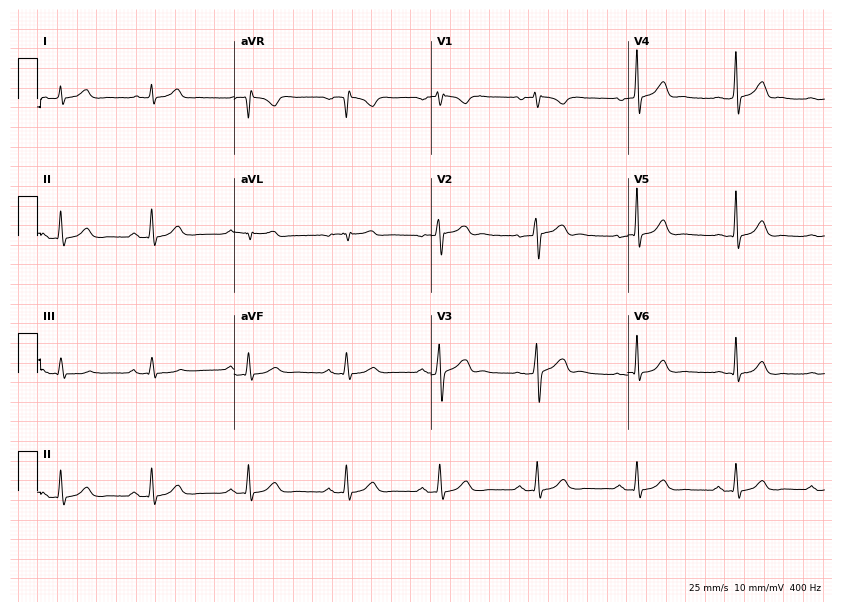
Standard 12-lead ECG recorded from a 33-year-old male patient (8-second recording at 400 Hz). Read as a normal ECG.